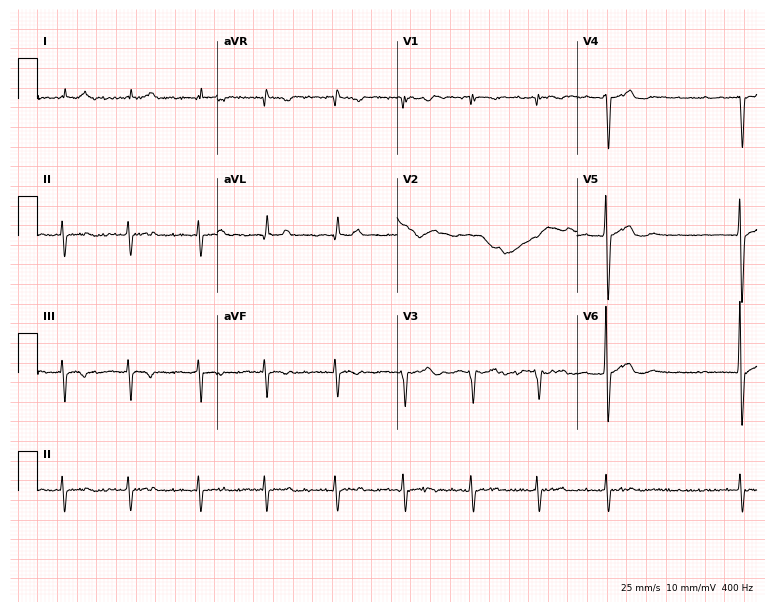
Standard 12-lead ECG recorded from an 82-year-old male patient. None of these six findings is recorded: first-degree AV block, right bundle branch block, left bundle branch block, sinus bradycardia, atrial fibrillation, sinus tachycardia. Only these six findings were labelled.